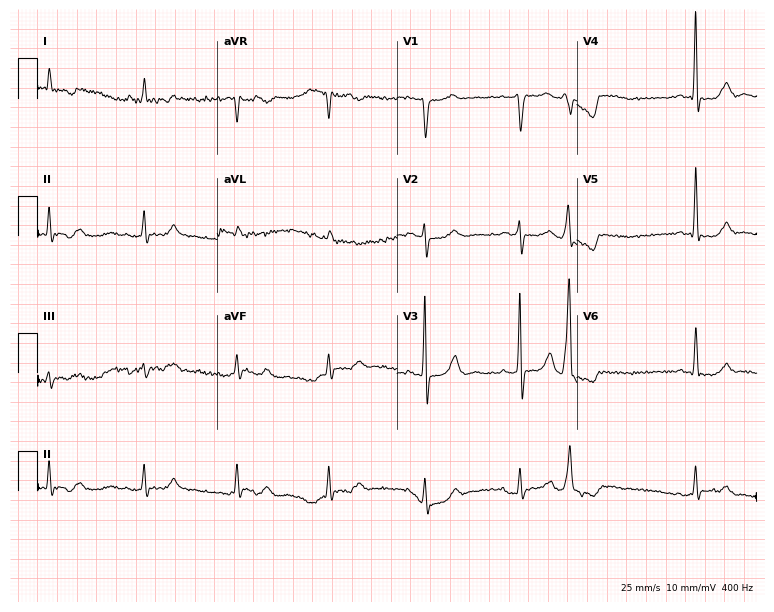
ECG (7.3-second recording at 400 Hz) — an 80-year-old male patient. Screened for six findings — first-degree AV block, right bundle branch block, left bundle branch block, sinus bradycardia, atrial fibrillation, sinus tachycardia — none is recorded.